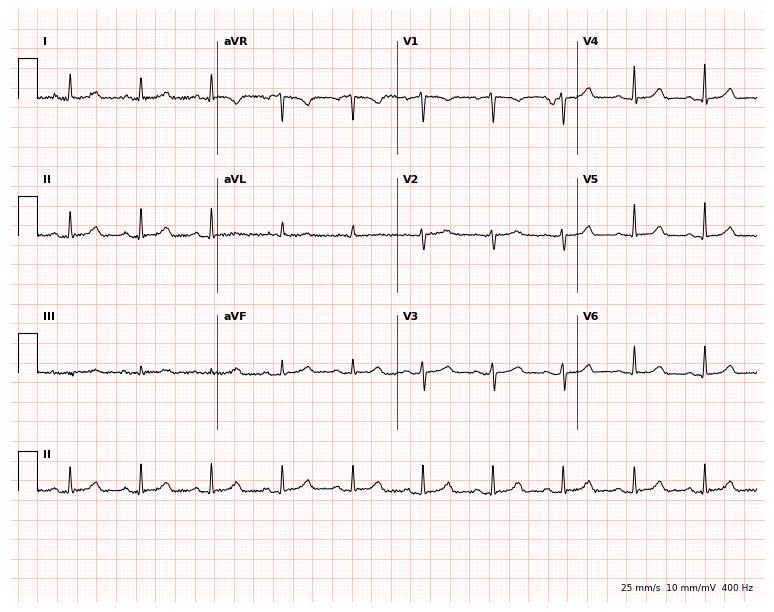
12-lead ECG (7.3-second recording at 400 Hz) from a 57-year-old female patient. Labelled as a normal ECG.